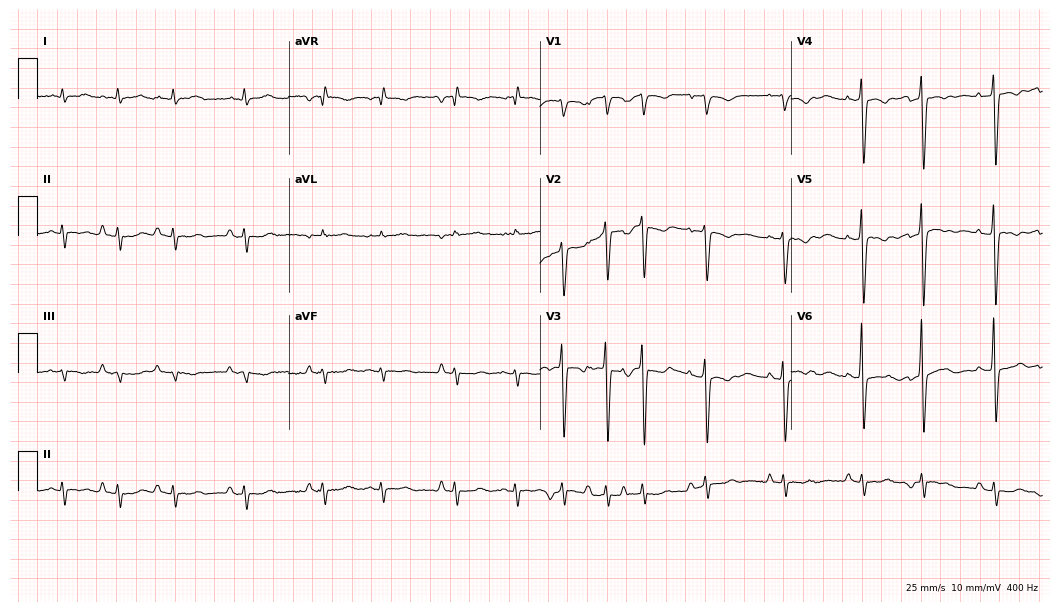
Standard 12-lead ECG recorded from an 81-year-old man. None of these six findings is recorded: first-degree AV block, right bundle branch block (RBBB), left bundle branch block (LBBB), sinus bradycardia, atrial fibrillation (AF), sinus tachycardia. Only these six findings were labelled.